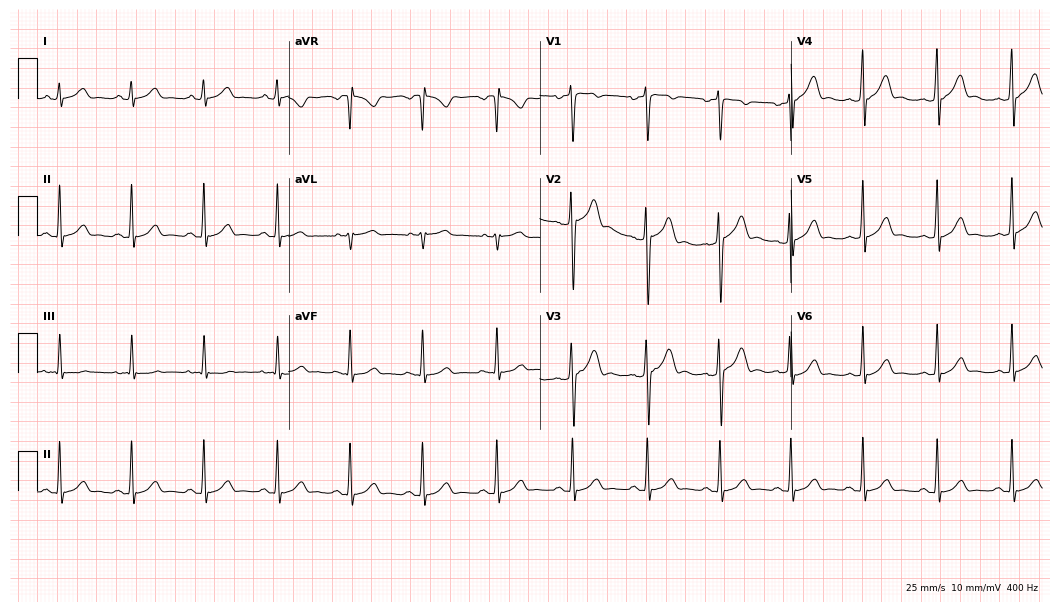
12-lead ECG from a male, 21 years old (10.2-second recording at 400 Hz). No first-degree AV block, right bundle branch block, left bundle branch block, sinus bradycardia, atrial fibrillation or sinus tachycardia recorded for this tracing.